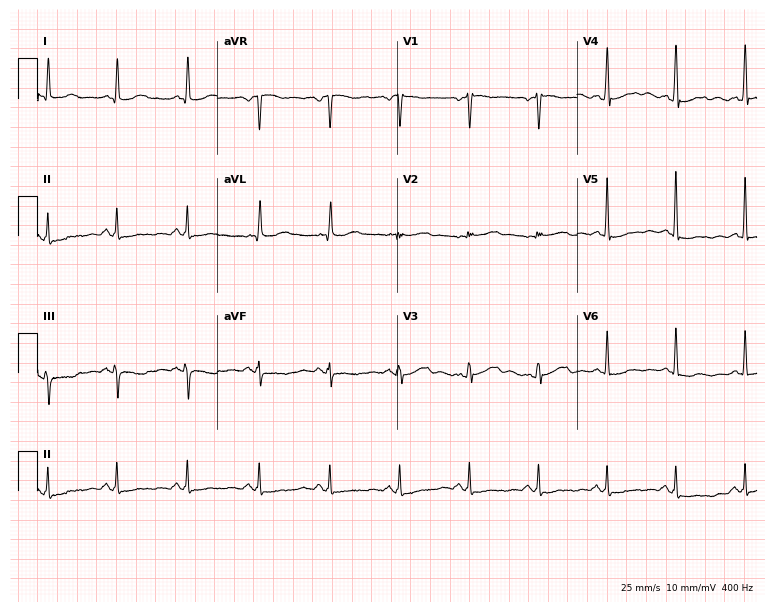
Electrocardiogram (7.3-second recording at 400 Hz), a female patient, 45 years old. Of the six screened findings (first-degree AV block, right bundle branch block, left bundle branch block, sinus bradycardia, atrial fibrillation, sinus tachycardia), none is recorded. Only these six findings were labelled.